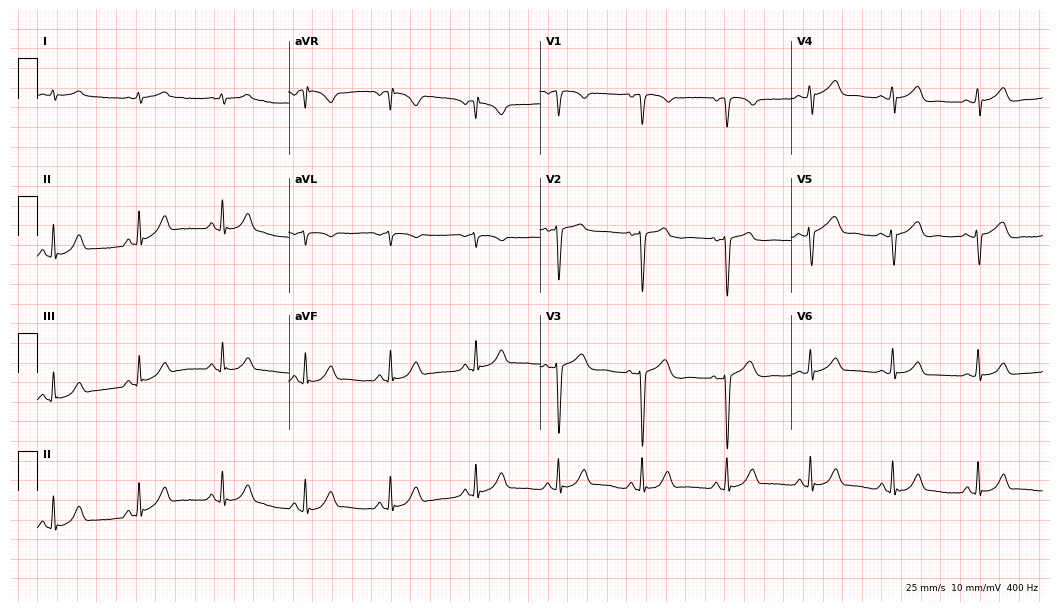
Electrocardiogram (10.2-second recording at 400 Hz), a man, 50 years old. Overall reading on record: normal ECG.